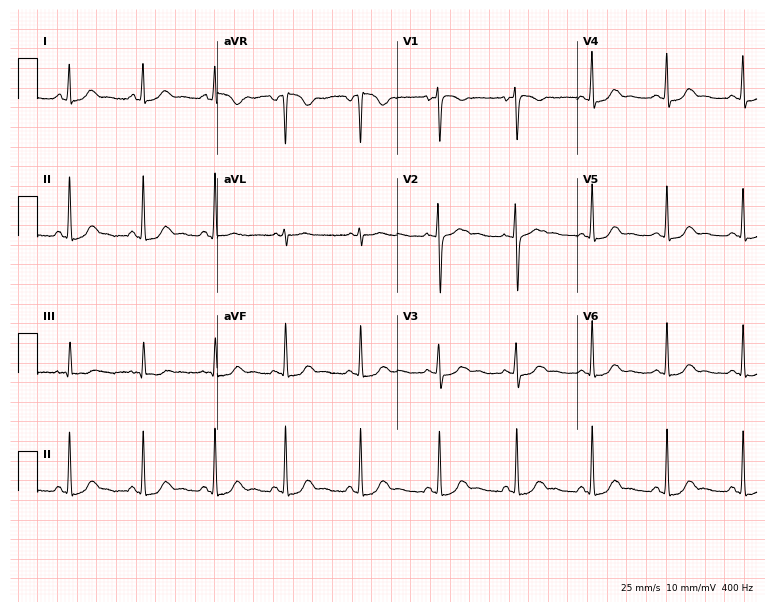
ECG (7.3-second recording at 400 Hz) — a 31-year-old female patient. Screened for six findings — first-degree AV block, right bundle branch block, left bundle branch block, sinus bradycardia, atrial fibrillation, sinus tachycardia — none is recorded. Findings outside these six are not listed.